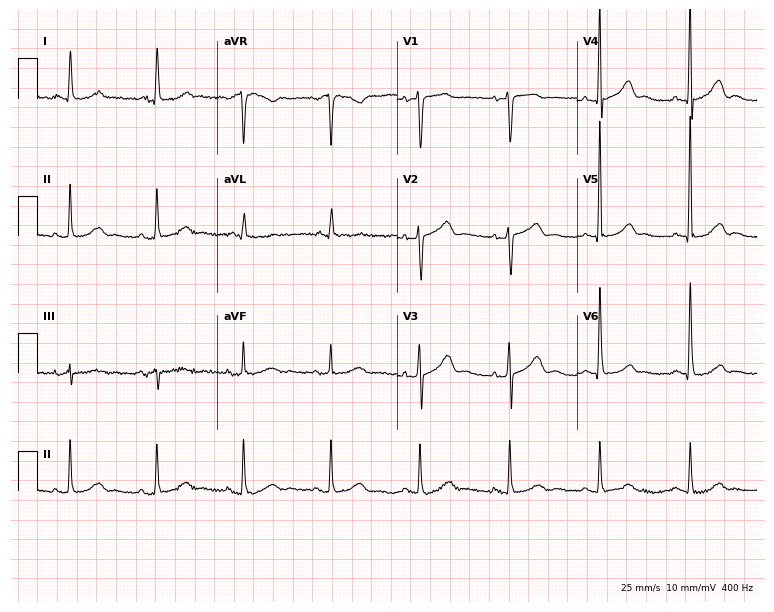
ECG — a 71-year-old female patient. Screened for six findings — first-degree AV block, right bundle branch block, left bundle branch block, sinus bradycardia, atrial fibrillation, sinus tachycardia — none is recorded.